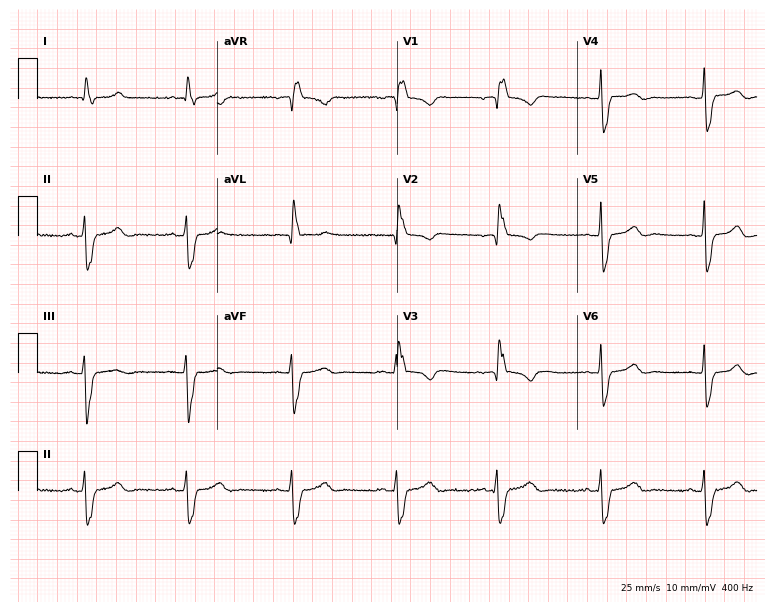
Resting 12-lead electrocardiogram (7.3-second recording at 400 Hz). Patient: a 39-year-old female. The tracing shows right bundle branch block (RBBB).